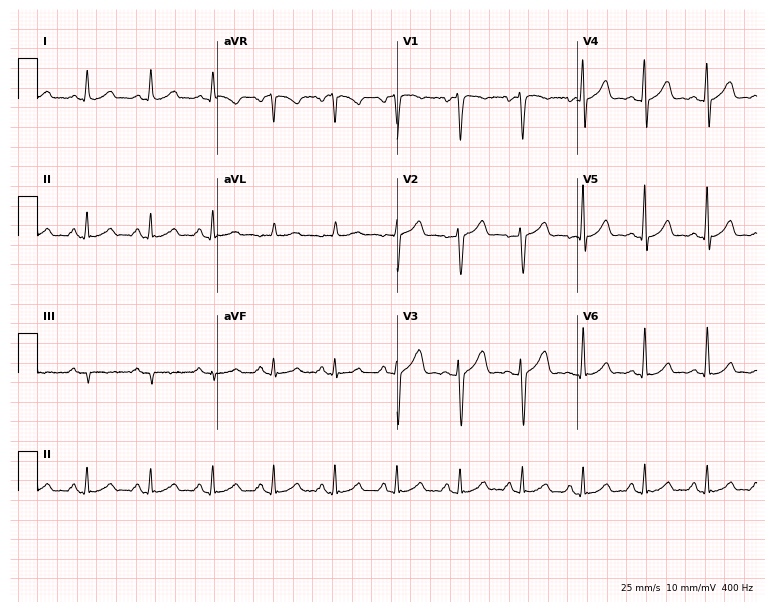
Standard 12-lead ECG recorded from a 57-year-old woman. Read as a normal ECG.